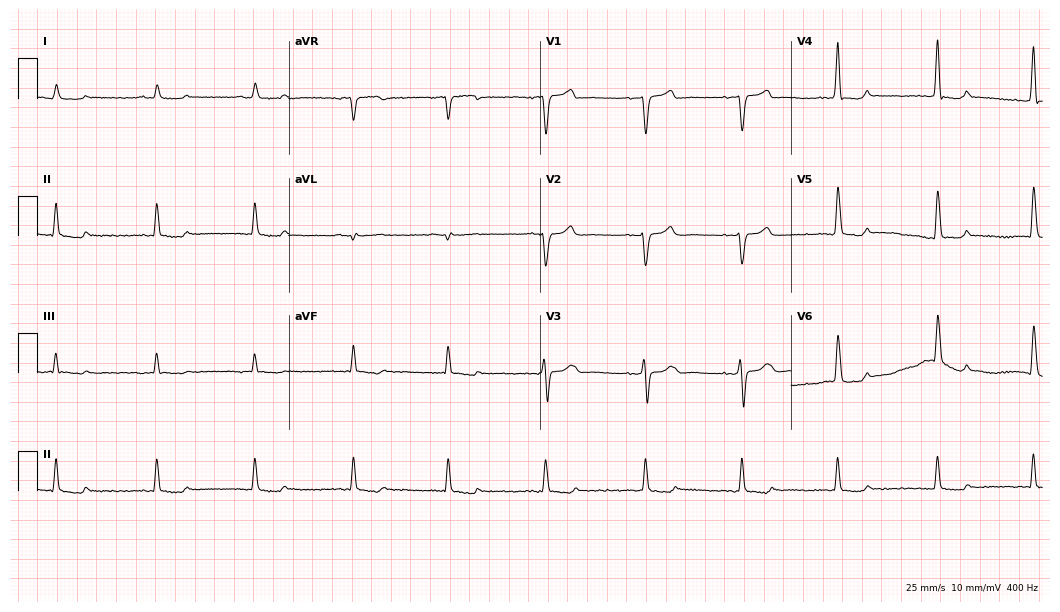
12-lead ECG from a 51-year-old man. Recorded interpretation: within normal limits.